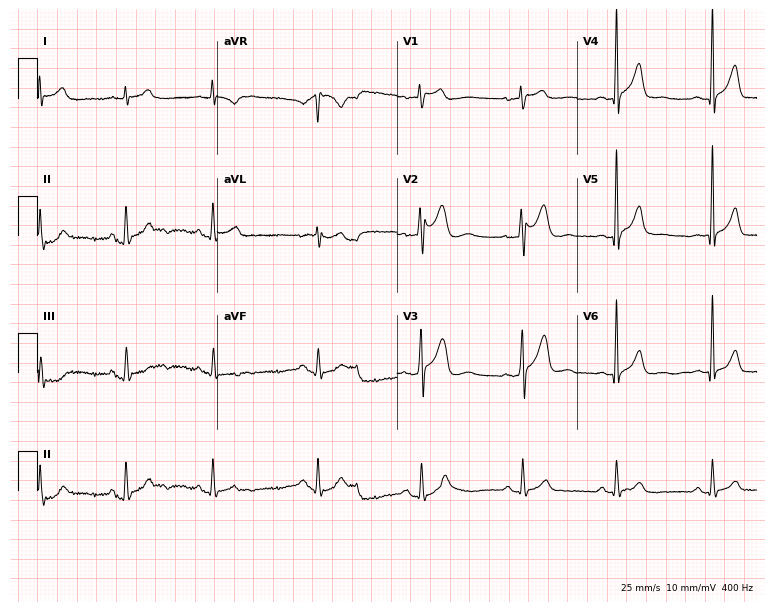
Electrocardiogram, a male patient, 35 years old. Of the six screened findings (first-degree AV block, right bundle branch block, left bundle branch block, sinus bradycardia, atrial fibrillation, sinus tachycardia), none is recorded.